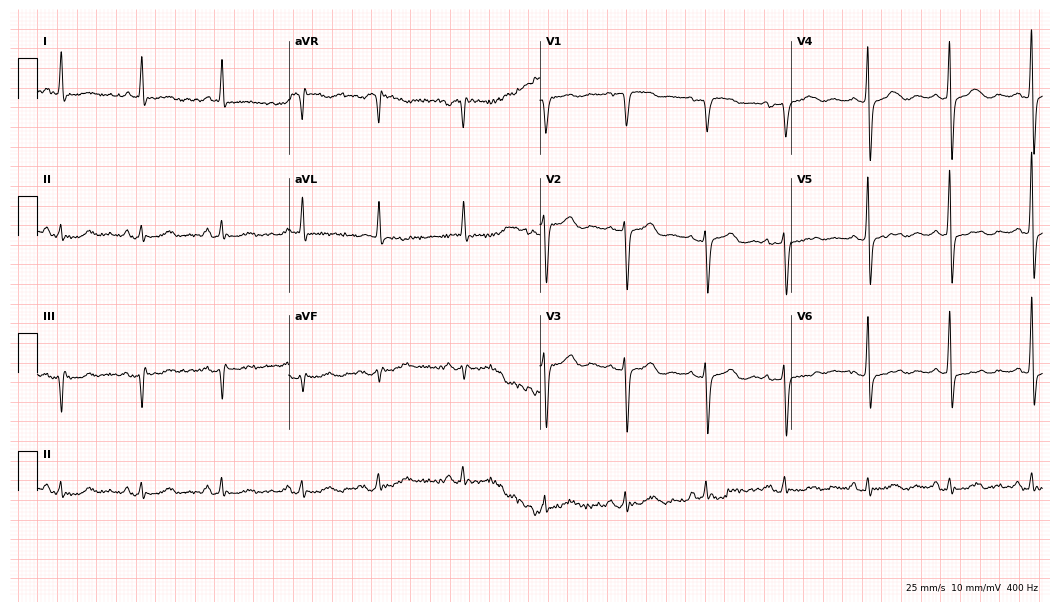
12-lead ECG from a 73-year-old male patient. No first-degree AV block, right bundle branch block (RBBB), left bundle branch block (LBBB), sinus bradycardia, atrial fibrillation (AF) or sinus tachycardia recorded for this tracing. Only these six findings were labelled.